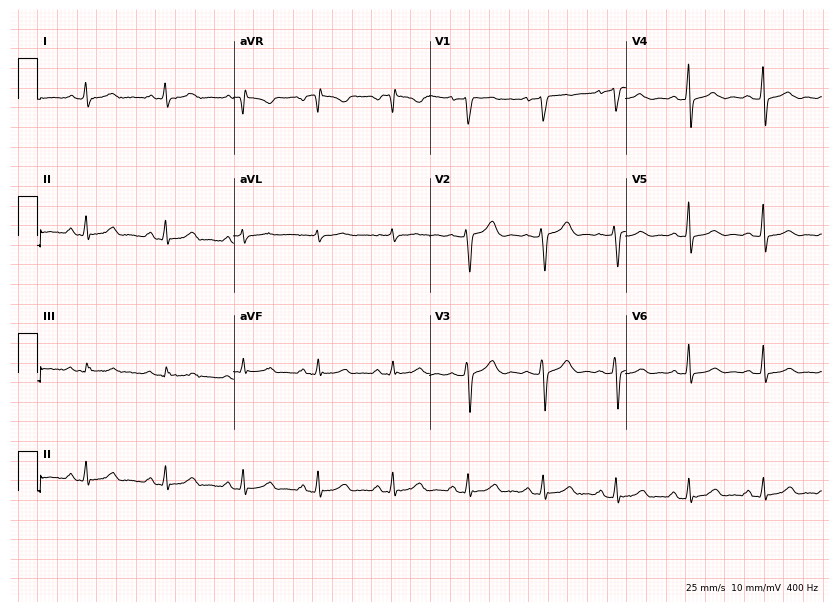
ECG — a female, 37 years old. Screened for six findings — first-degree AV block, right bundle branch block (RBBB), left bundle branch block (LBBB), sinus bradycardia, atrial fibrillation (AF), sinus tachycardia — none is recorded. Only these six findings were labelled.